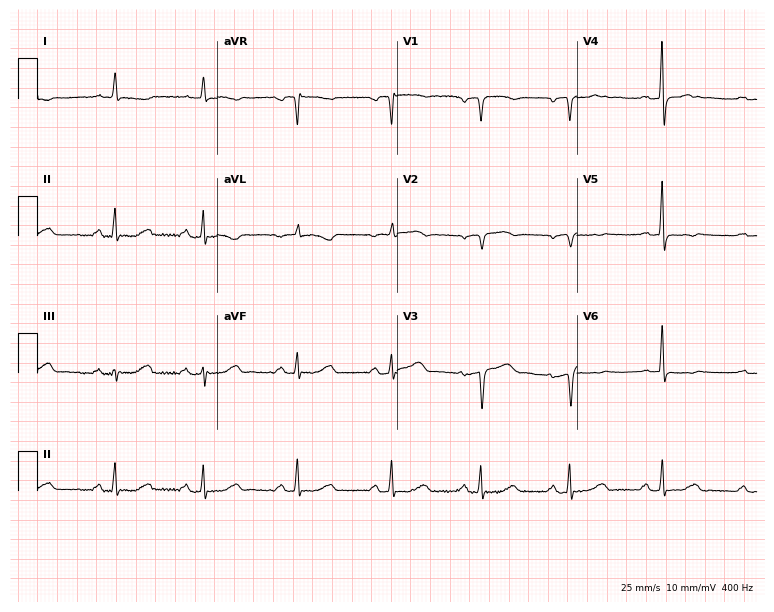
Standard 12-lead ECG recorded from a 65-year-old female patient. None of these six findings is recorded: first-degree AV block, right bundle branch block, left bundle branch block, sinus bradycardia, atrial fibrillation, sinus tachycardia. Findings outside these six are not listed.